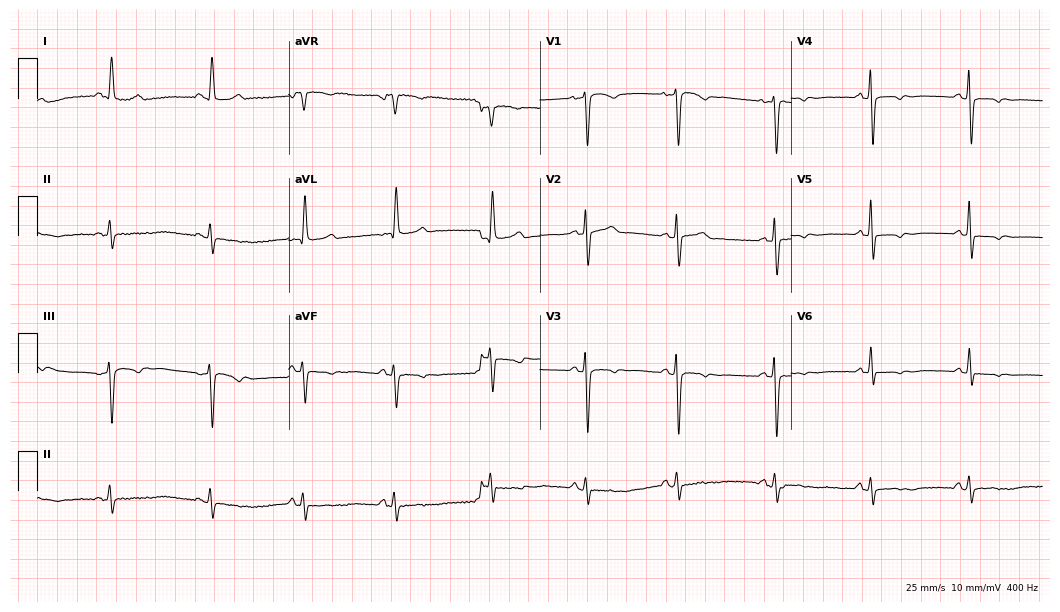
Resting 12-lead electrocardiogram (10.2-second recording at 400 Hz). Patient: a 76-year-old female. None of these six findings is recorded: first-degree AV block, right bundle branch block, left bundle branch block, sinus bradycardia, atrial fibrillation, sinus tachycardia. Findings outside these six are not listed.